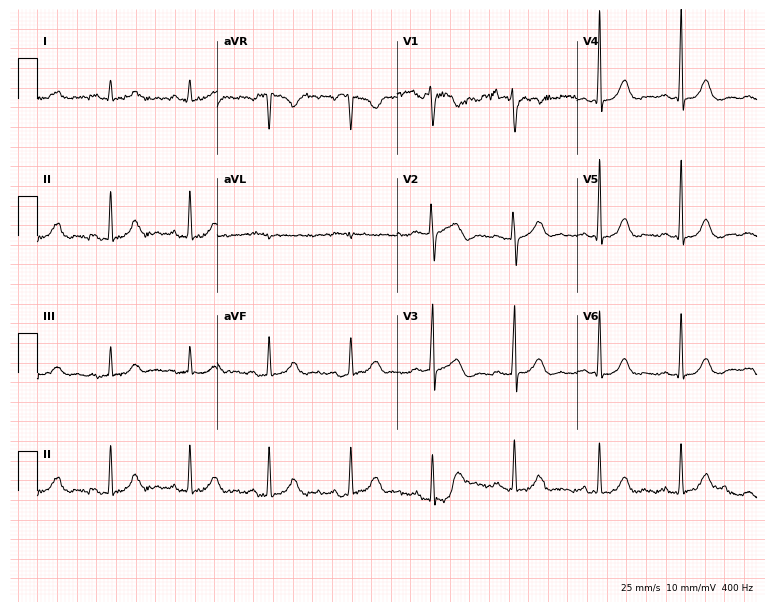
Standard 12-lead ECG recorded from a woman, 40 years old (7.3-second recording at 400 Hz). Read as a normal ECG.